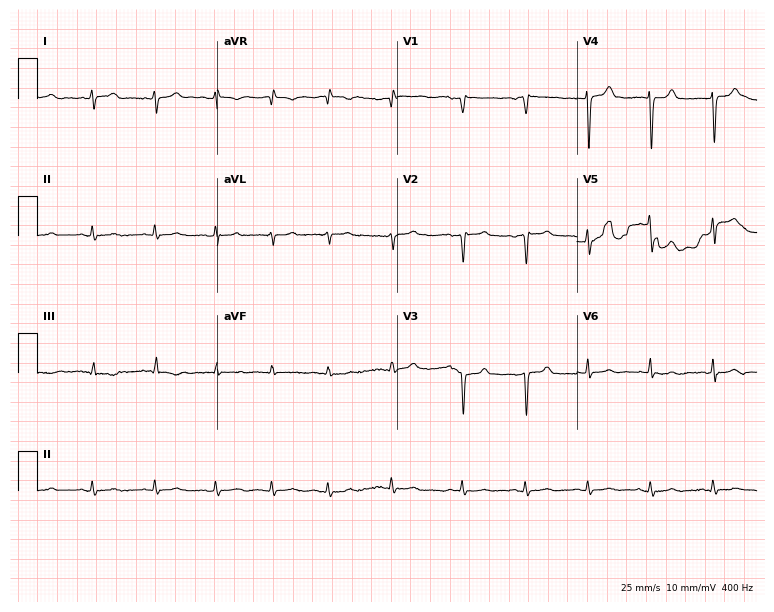
12-lead ECG from a male patient, 81 years old (7.3-second recording at 400 Hz). No first-degree AV block, right bundle branch block, left bundle branch block, sinus bradycardia, atrial fibrillation or sinus tachycardia recorded for this tracing. Only these six findings were labelled.